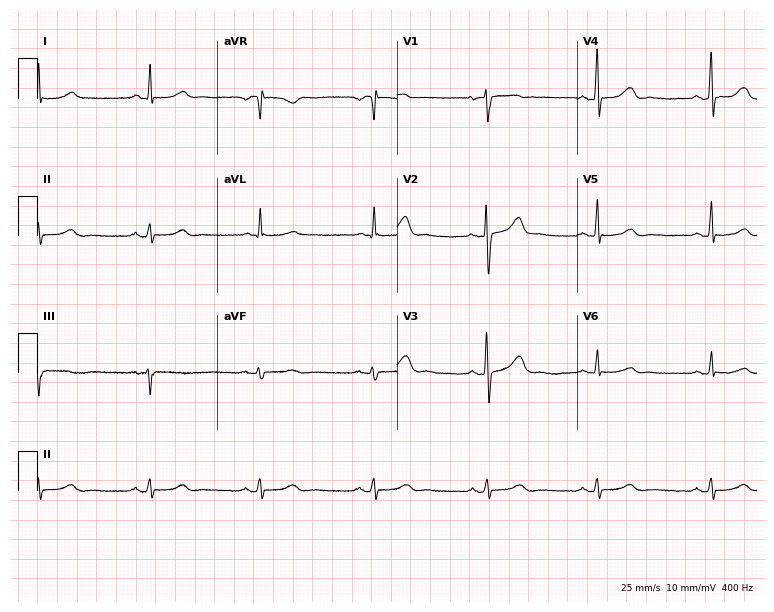
Electrocardiogram, a 55-year-old woman. Of the six screened findings (first-degree AV block, right bundle branch block (RBBB), left bundle branch block (LBBB), sinus bradycardia, atrial fibrillation (AF), sinus tachycardia), none is recorded.